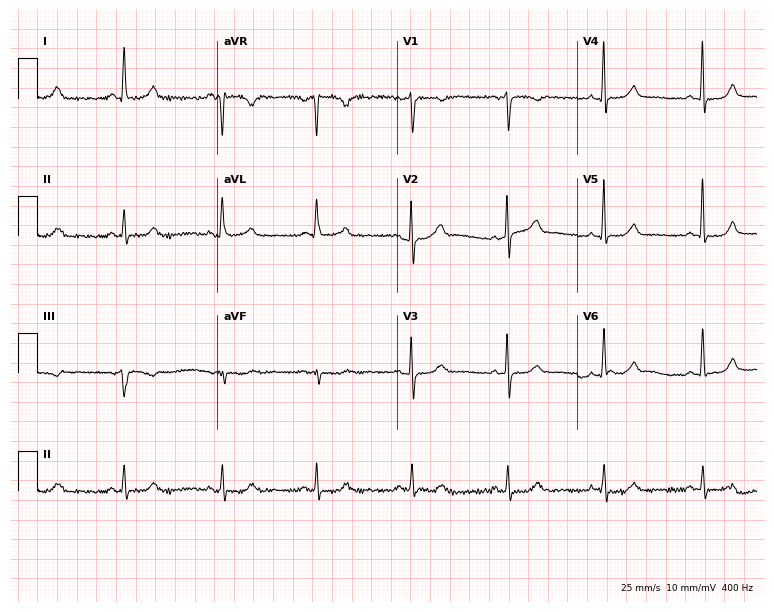
Resting 12-lead electrocardiogram. Patient: a female, 53 years old. Read as a normal ECG.